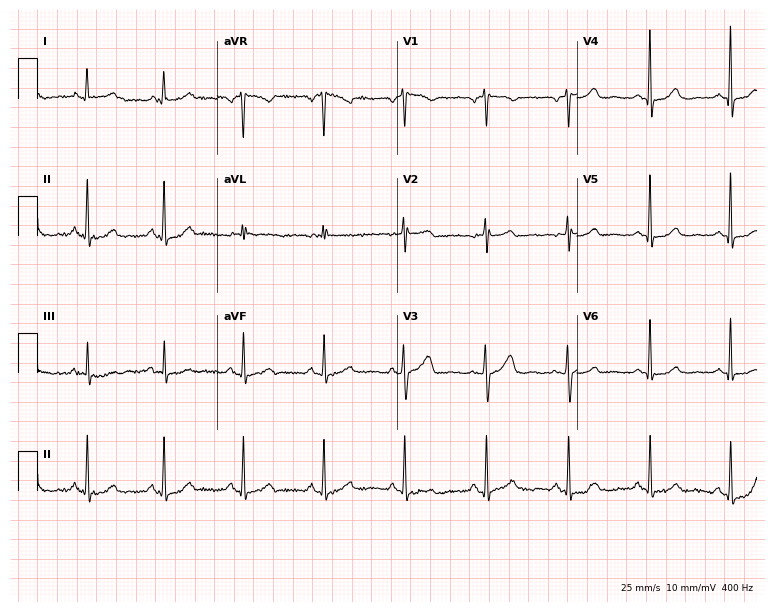
ECG (7.3-second recording at 400 Hz) — a 52-year-old woman. Screened for six findings — first-degree AV block, right bundle branch block, left bundle branch block, sinus bradycardia, atrial fibrillation, sinus tachycardia — none is recorded.